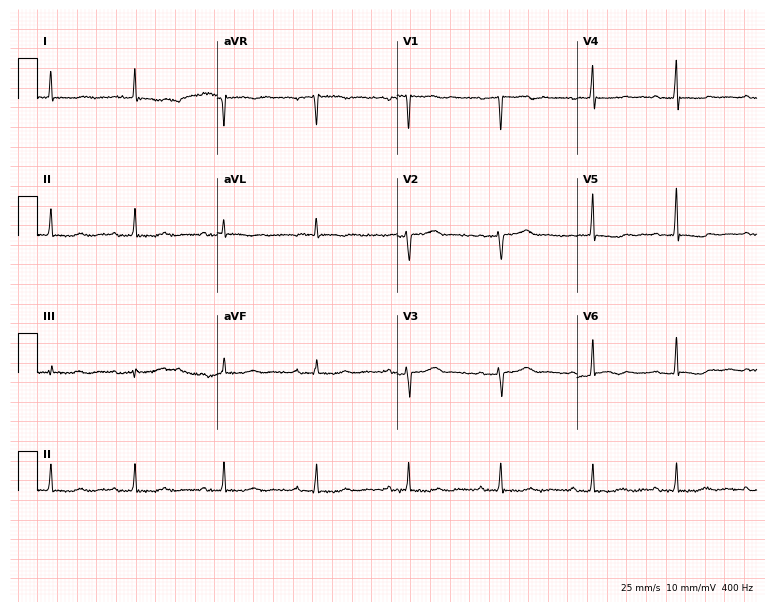
Standard 12-lead ECG recorded from a female patient, 63 years old (7.3-second recording at 400 Hz). None of these six findings is recorded: first-degree AV block, right bundle branch block, left bundle branch block, sinus bradycardia, atrial fibrillation, sinus tachycardia.